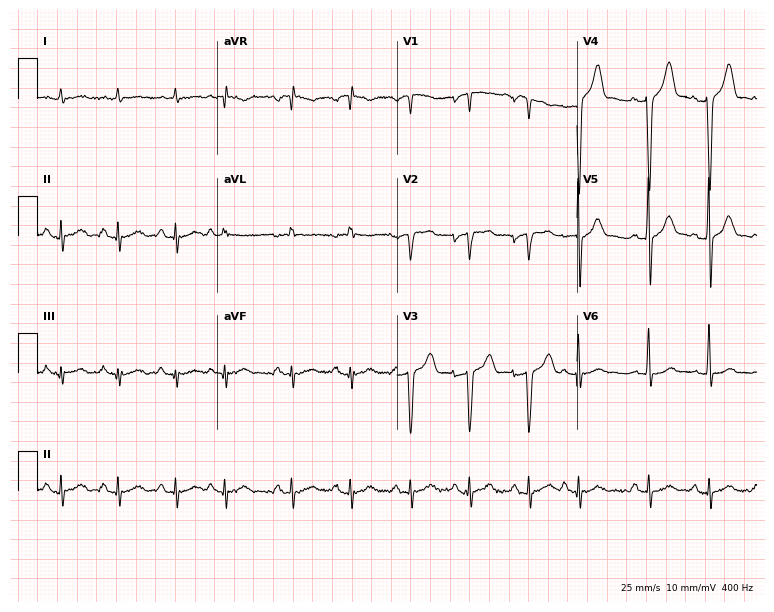
Electrocardiogram, a male, 55 years old. Of the six screened findings (first-degree AV block, right bundle branch block, left bundle branch block, sinus bradycardia, atrial fibrillation, sinus tachycardia), none is recorded. Other findings, if any, are not listed.